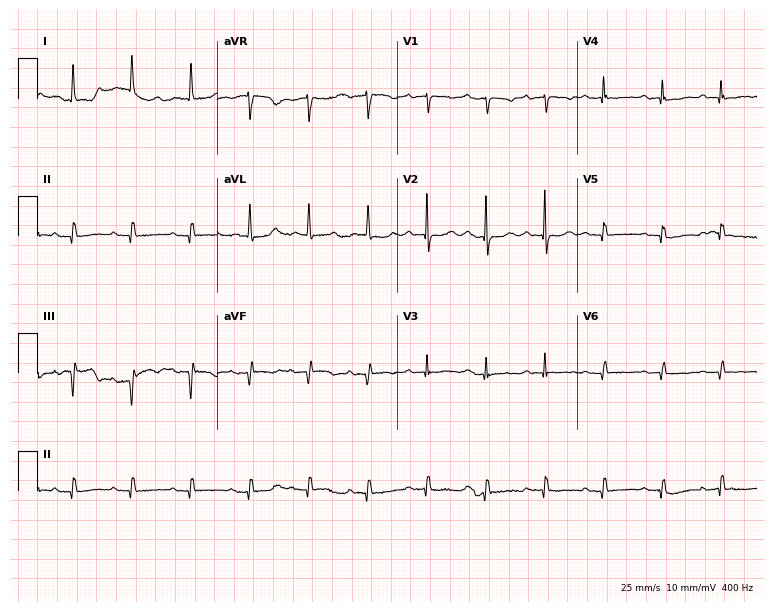
ECG — a woman, 85 years old. Screened for six findings — first-degree AV block, right bundle branch block, left bundle branch block, sinus bradycardia, atrial fibrillation, sinus tachycardia — none is recorded. Findings outside these six are not listed.